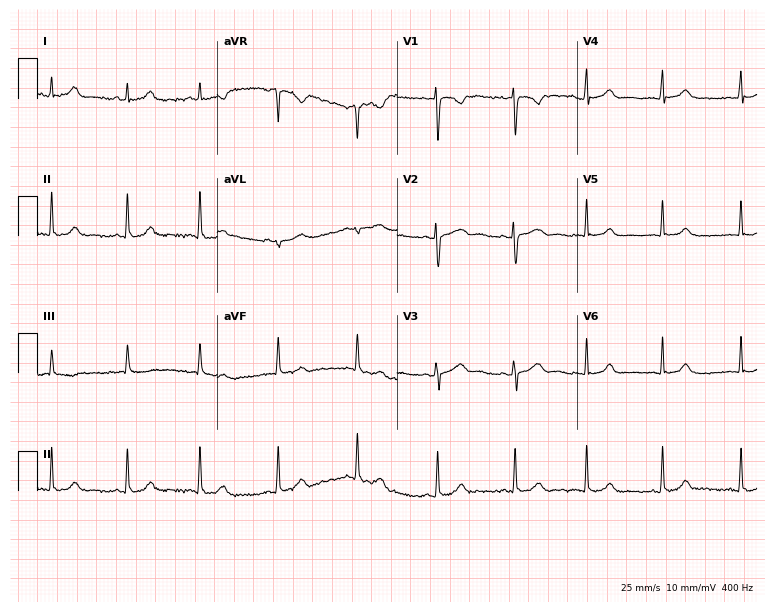
ECG — a female patient, 17 years old. Labelled as a normal ECG.